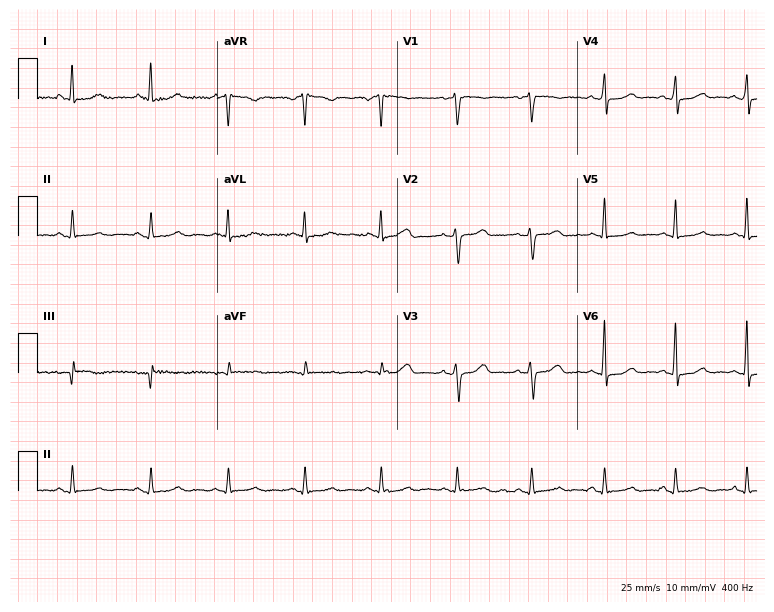
Standard 12-lead ECG recorded from a 44-year-old woman (7.3-second recording at 400 Hz). None of these six findings is recorded: first-degree AV block, right bundle branch block (RBBB), left bundle branch block (LBBB), sinus bradycardia, atrial fibrillation (AF), sinus tachycardia.